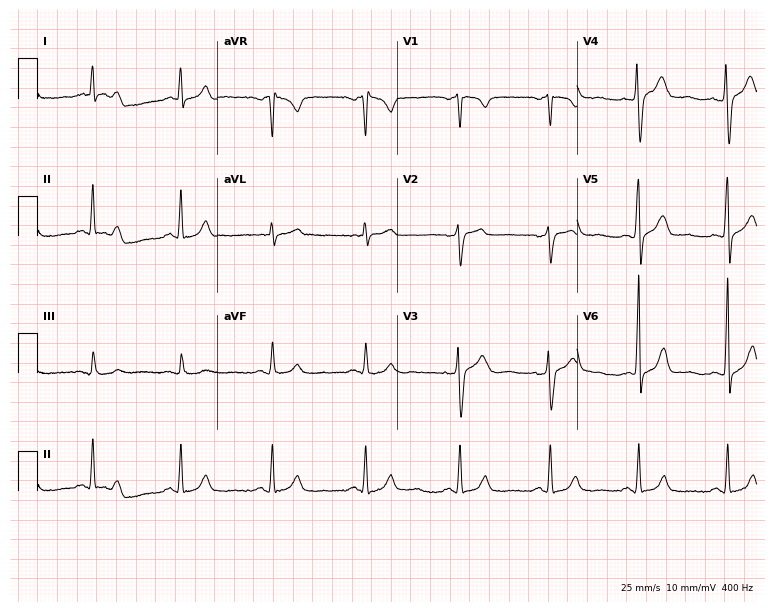
Standard 12-lead ECG recorded from a male, 56 years old (7.3-second recording at 400 Hz). Read as a normal ECG.